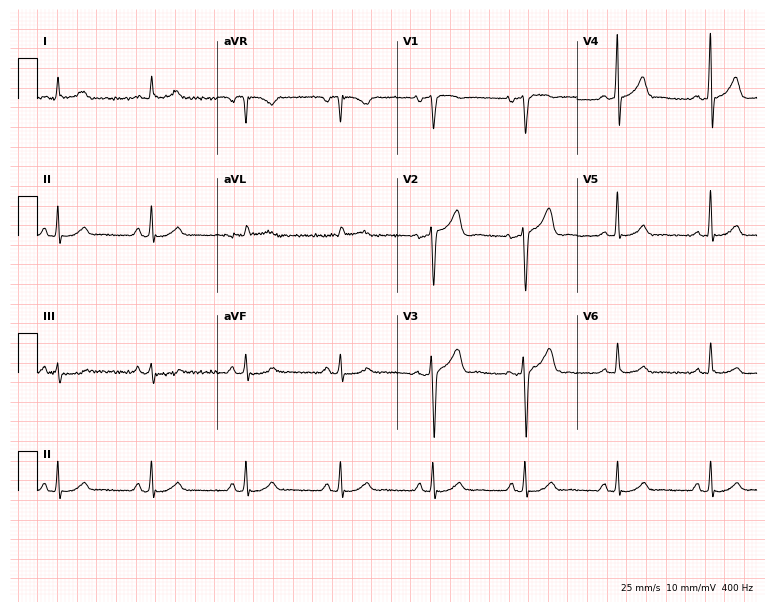
ECG — a 54-year-old man. Labelled as a normal ECG.